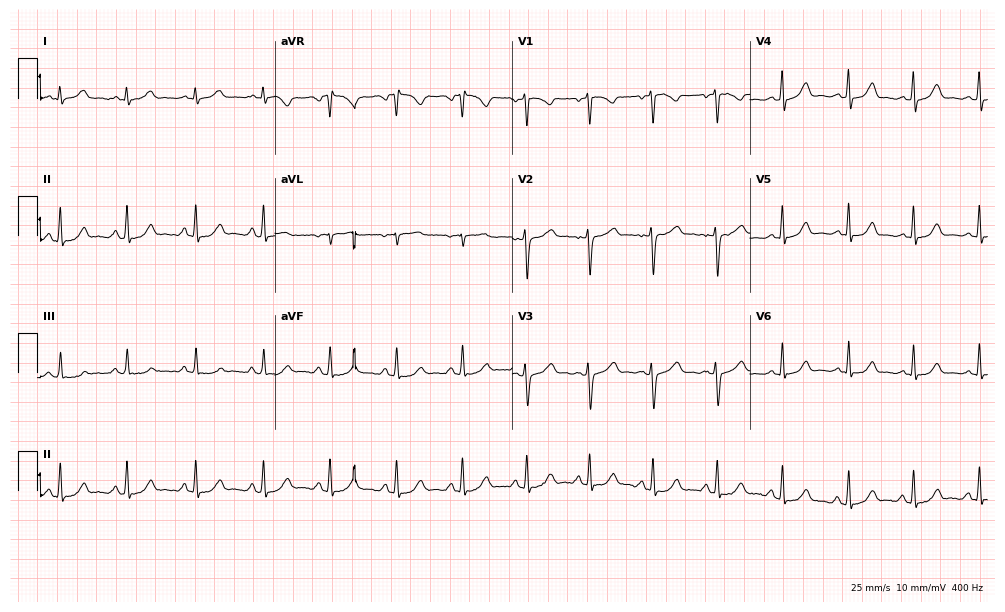
12-lead ECG from a woman, 35 years old (9.7-second recording at 400 Hz). Recorded interpretation: within normal limits.